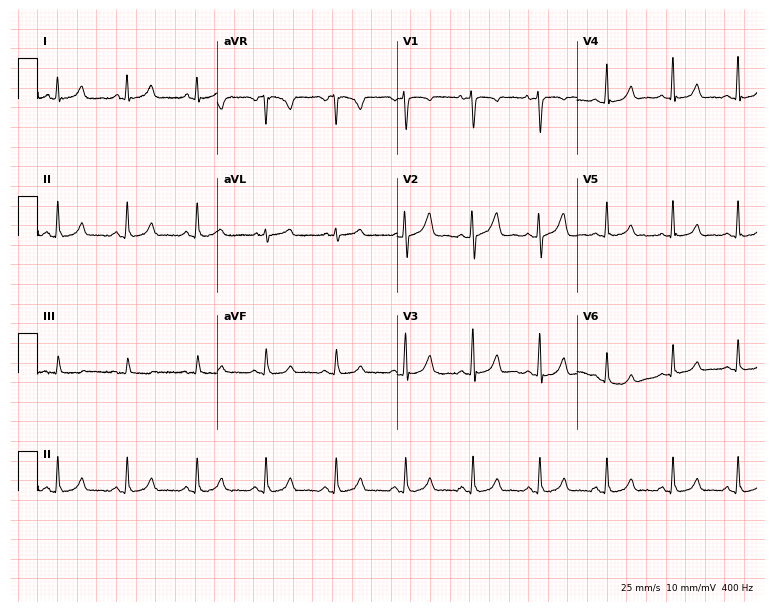
Resting 12-lead electrocardiogram (7.3-second recording at 400 Hz). Patient: a 30-year-old woman. None of these six findings is recorded: first-degree AV block, right bundle branch block, left bundle branch block, sinus bradycardia, atrial fibrillation, sinus tachycardia.